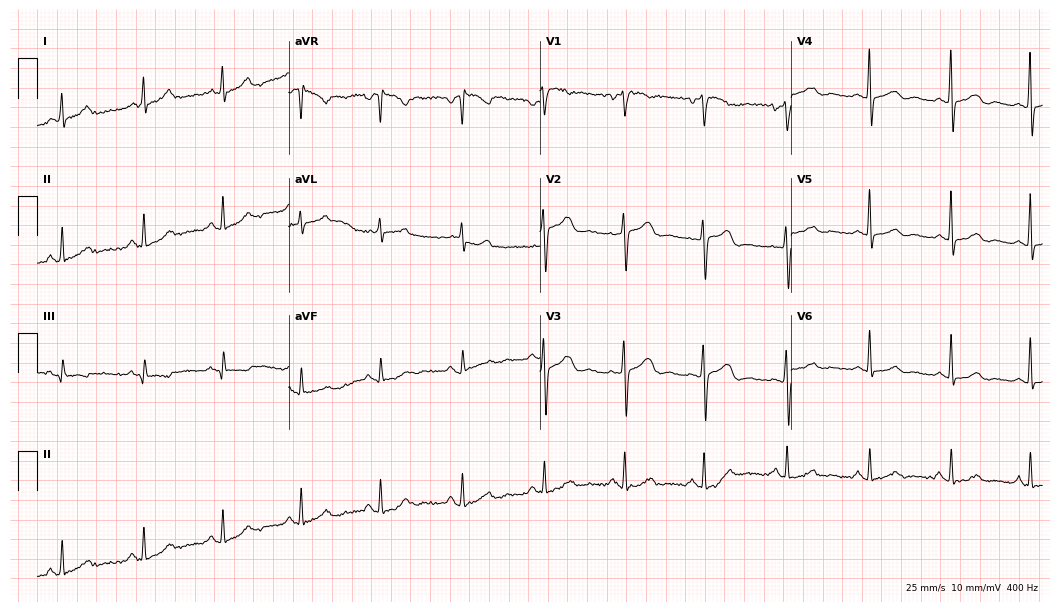
Electrocardiogram, a 47-year-old female patient. Overall reading on record: normal ECG.